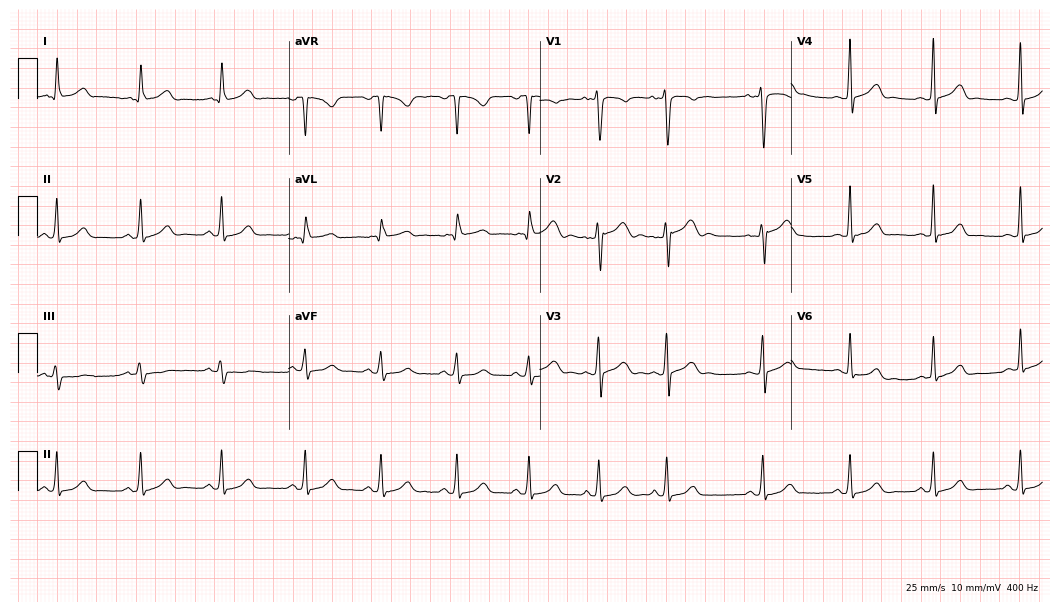
Resting 12-lead electrocardiogram. Patient: a man, 19 years old. Read as a normal ECG.